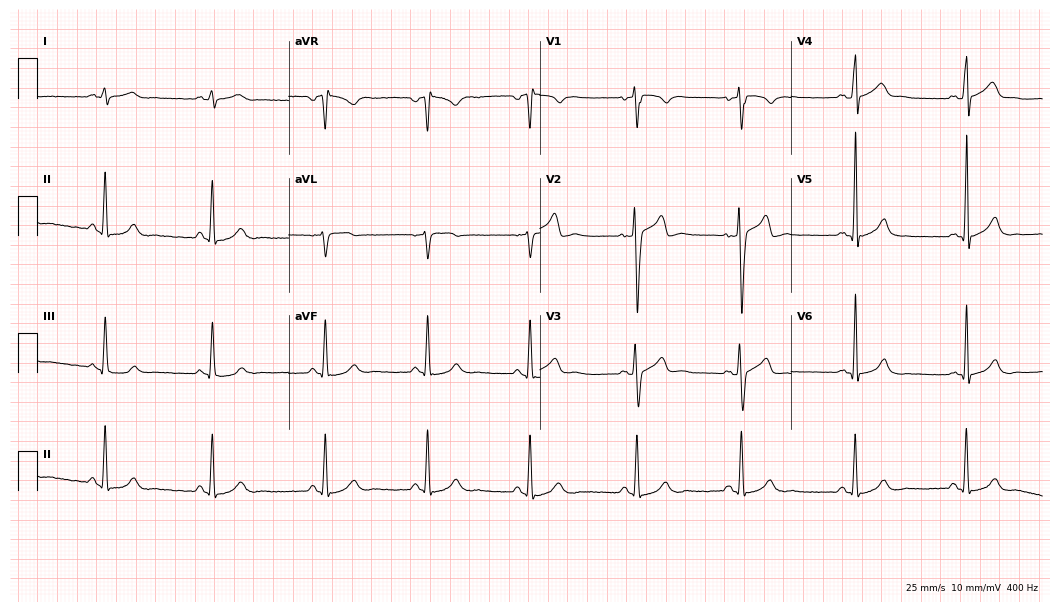
ECG — a man, 32 years old. Screened for six findings — first-degree AV block, right bundle branch block, left bundle branch block, sinus bradycardia, atrial fibrillation, sinus tachycardia — none is recorded. Only these six findings were labelled.